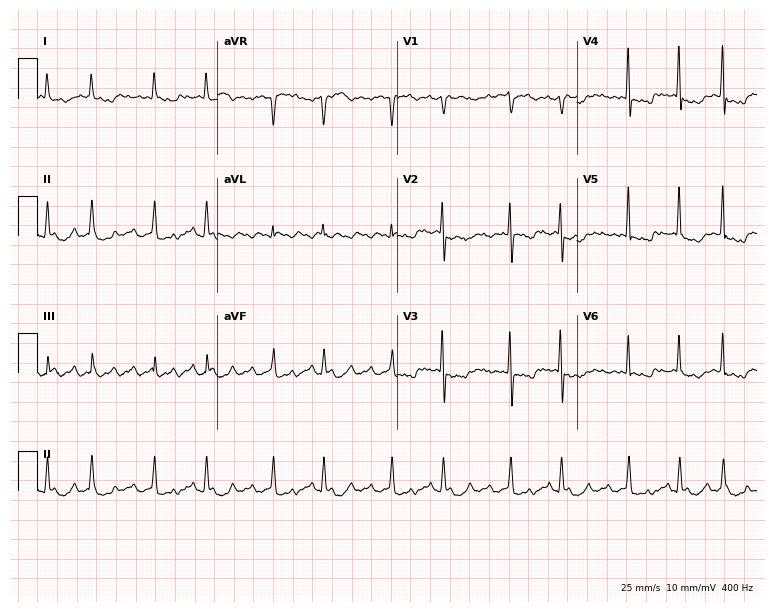
Resting 12-lead electrocardiogram. Patient: a 70-year-old woman. None of these six findings is recorded: first-degree AV block, right bundle branch block (RBBB), left bundle branch block (LBBB), sinus bradycardia, atrial fibrillation (AF), sinus tachycardia.